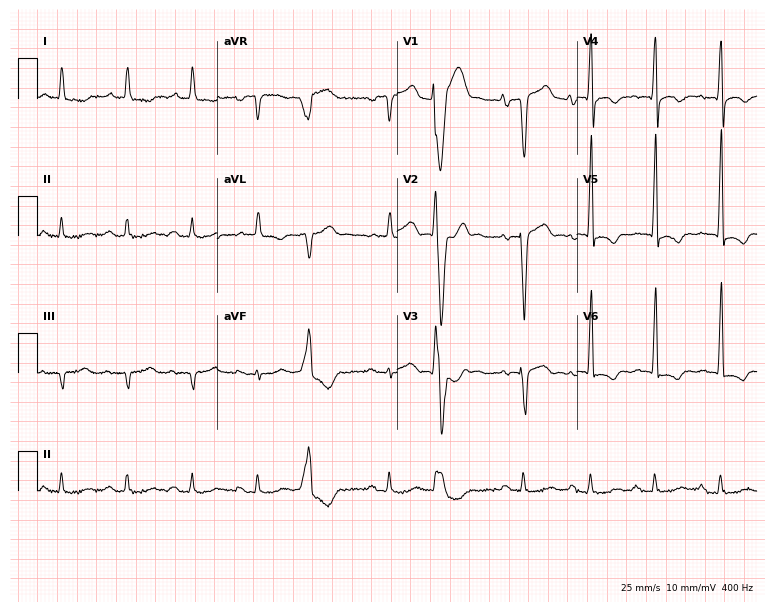
Standard 12-lead ECG recorded from a male patient, 78 years old (7.3-second recording at 400 Hz). None of these six findings is recorded: first-degree AV block, right bundle branch block (RBBB), left bundle branch block (LBBB), sinus bradycardia, atrial fibrillation (AF), sinus tachycardia.